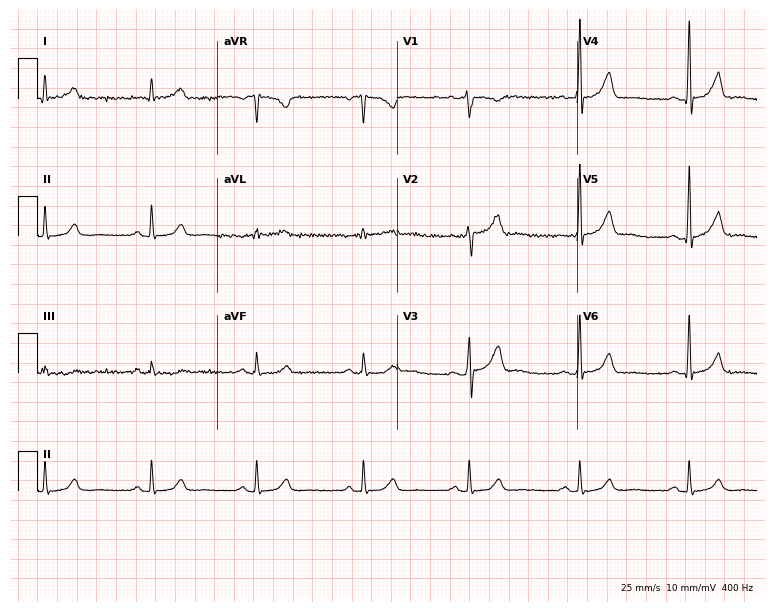
Resting 12-lead electrocardiogram. Patient: a male, 50 years old. None of these six findings is recorded: first-degree AV block, right bundle branch block, left bundle branch block, sinus bradycardia, atrial fibrillation, sinus tachycardia.